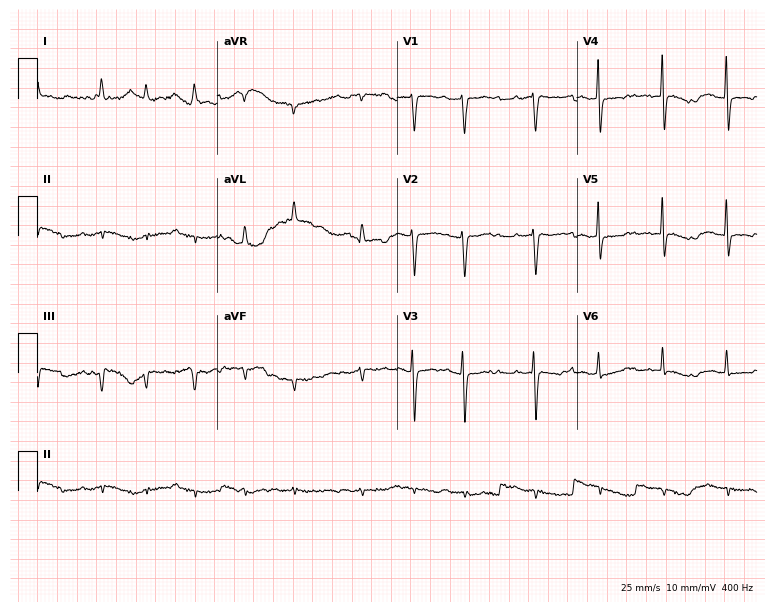
Standard 12-lead ECG recorded from a 58-year-old female patient (7.3-second recording at 400 Hz). None of these six findings is recorded: first-degree AV block, right bundle branch block, left bundle branch block, sinus bradycardia, atrial fibrillation, sinus tachycardia. Other findings, if any, are not listed.